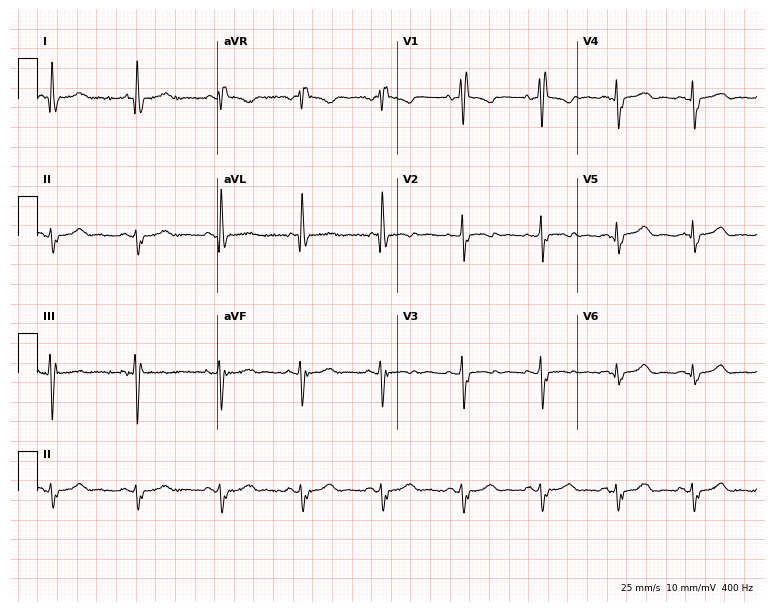
Electrocardiogram (7.3-second recording at 400 Hz), a 72-year-old female. Interpretation includes right bundle branch block (RBBB).